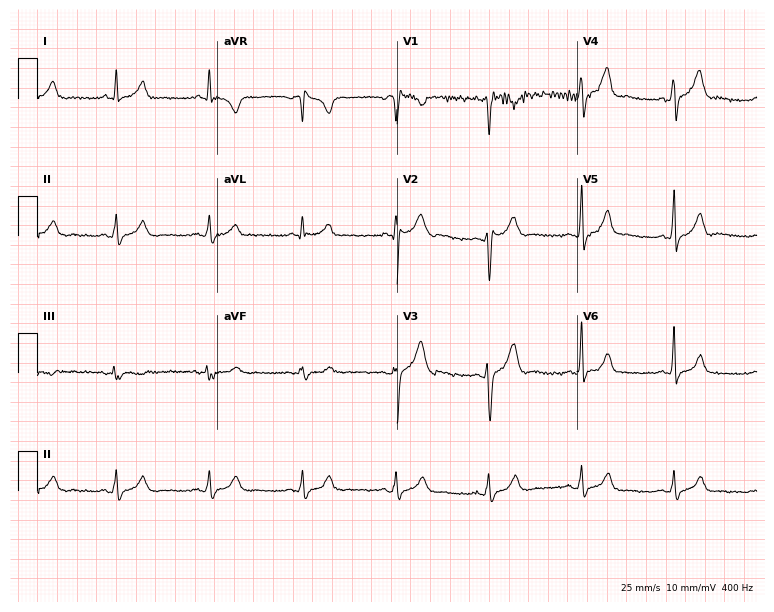
Electrocardiogram, a 33-year-old male patient. Of the six screened findings (first-degree AV block, right bundle branch block, left bundle branch block, sinus bradycardia, atrial fibrillation, sinus tachycardia), none is recorded.